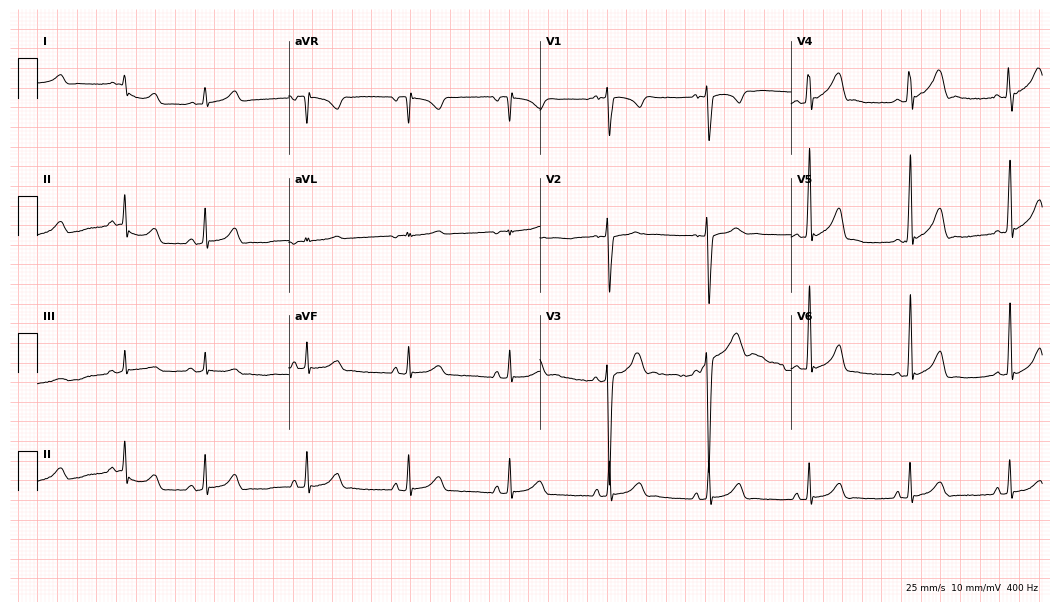
Resting 12-lead electrocardiogram. Patient: a male, 17 years old. Read as a normal ECG.